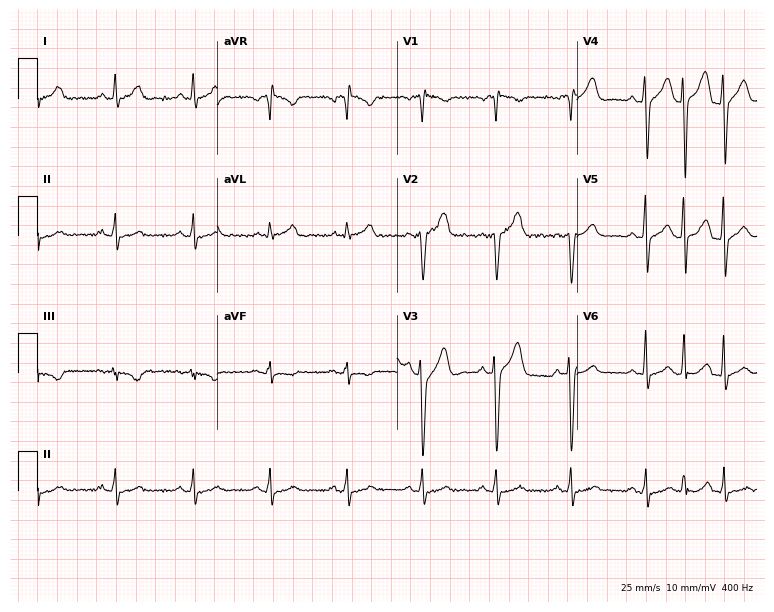
ECG (7.3-second recording at 400 Hz) — a 34-year-old male. Screened for six findings — first-degree AV block, right bundle branch block, left bundle branch block, sinus bradycardia, atrial fibrillation, sinus tachycardia — none is recorded.